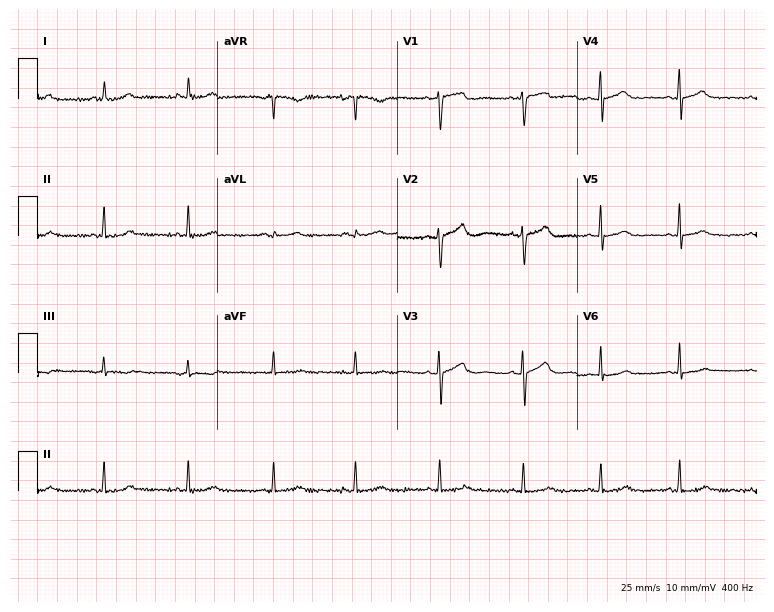
Standard 12-lead ECG recorded from a woman, 42 years old (7.3-second recording at 400 Hz). None of these six findings is recorded: first-degree AV block, right bundle branch block, left bundle branch block, sinus bradycardia, atrial fibrillation, sinus tachycardia. Only these six findings were labelled.